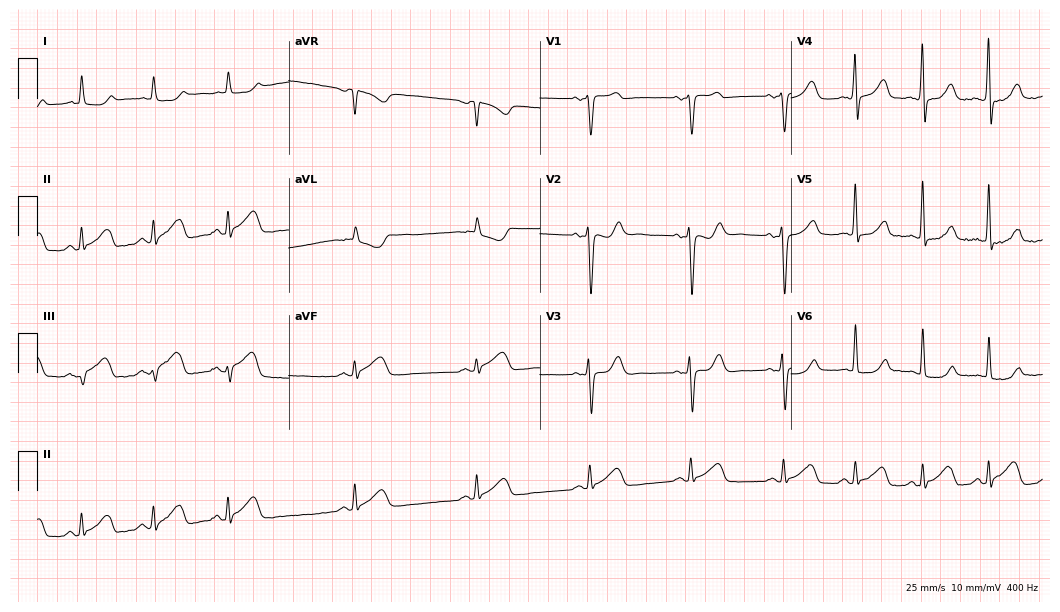
12-lead ECG from a man, 51 years old. No first-degree AV block, right bundle branch block, left bundle branch block, sinus bradycardia, atrial fibrillation or sinus tachycardia recorded for this tracing.